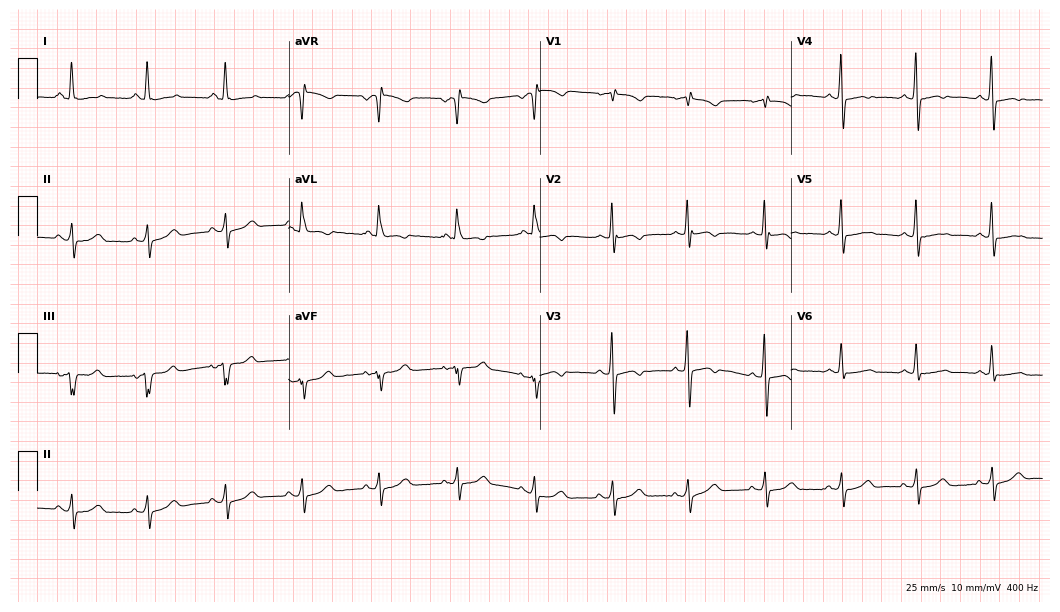
Electrocardiogram, a female, 64 years old. Of the six screened findings (first-degree AV block, right bundle branch block (RBBB), left bundle branch block (LBBB), sinus bradycardia, atrial fibrillation (AF), sinus tachycardia), none is recorded.